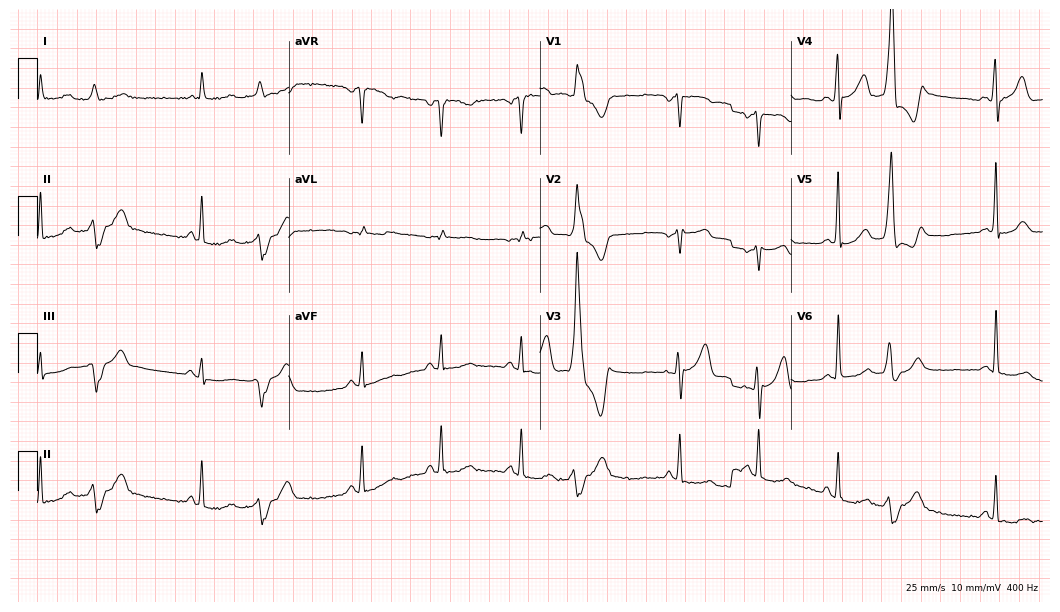
12-lead ECG from an 85-year-old man. Screened for six findings — first-degree AV block, right bundle branch block, left bundle branch block, sinus bradycardia, atrial fibrillation, sinus tachycardia — none is recorded.